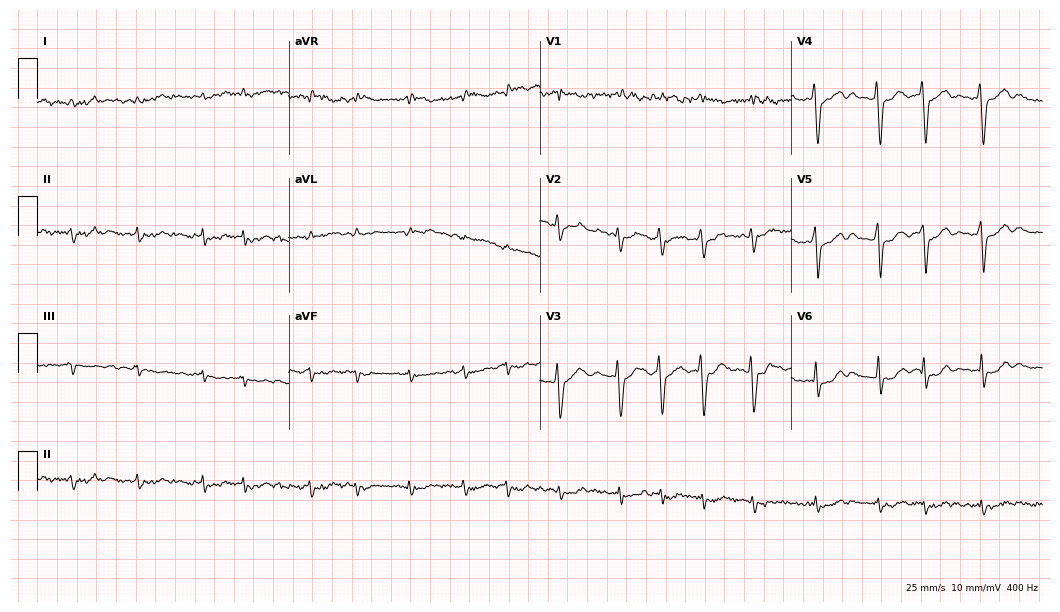
12-lead ECG from a 72-year-old man. No first-degree AV block, right bundle branch block (RBBB), left bundle branch block (LBBB), sinus bradycardia, atrial fibrillation (AF) or sinus tachycardia recorded for this tracing.